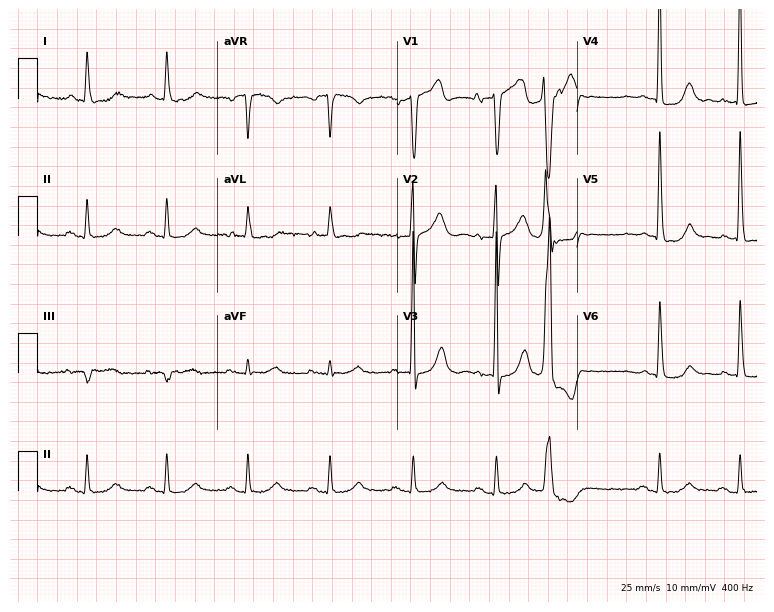
Standard 12-lead ECG recorded from a man, 76 years old (7.3-second recording at 400 Hz). None of these six findings is recorded: first-degree AV block, right bundle branch block, left bundle branch block, sinus bradycardia, atrial fibrillation, sinus tachycardia.